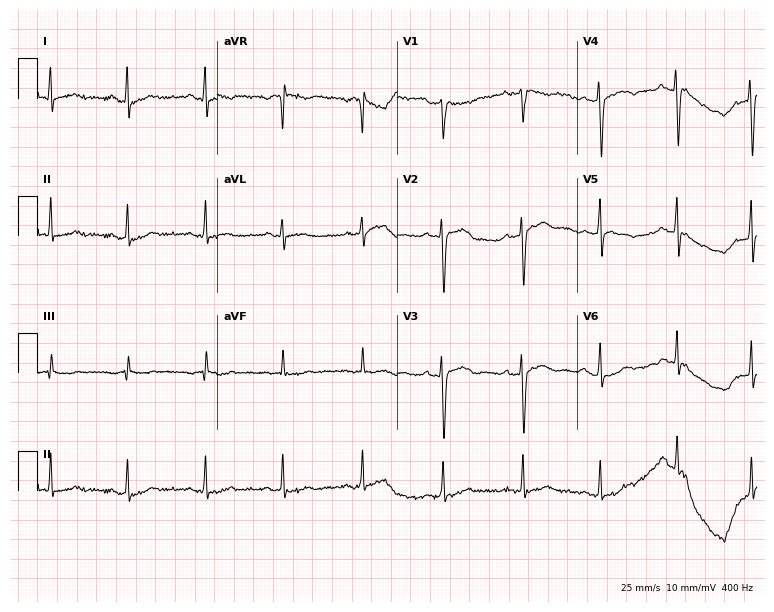
Electrocardiogram, a 22-year-old woman. Of the six screened findings (first-degree AV block, right bundle branch block, left bundle branch block, sinus bradycardia, atrial fibrillation, sinus tachycardia), none is recorded.